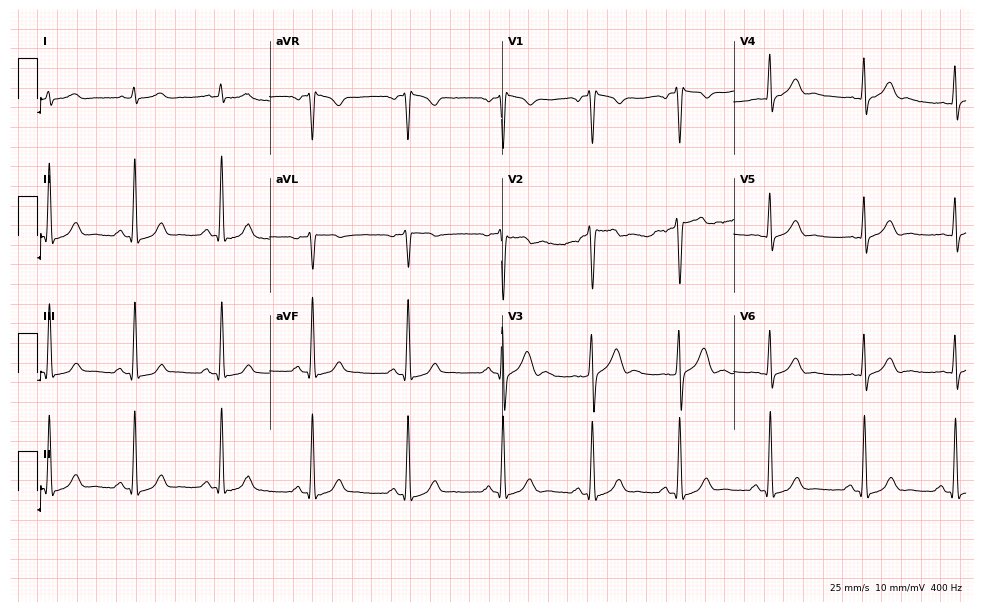
Electrocardiogram (9.5-second recording at 400 Hz), a male, 20 years old. Overall reading on record: normal ECG.